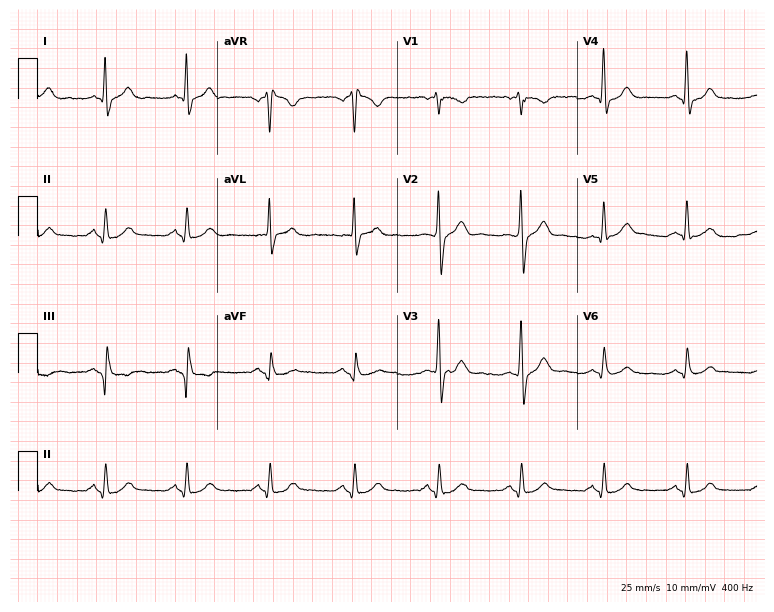
12-lead ECG (7.3-second recording at 400 Hz) from a man, 50 years old. Screened for six findings — first-degree AV block, right bundle branch block (RBBB), left bundle branch block (LBBB), sinus bradycardia, atrial fibrillation (AF), sinus tachycardia — none is recorded. Only these six findings were labelled.